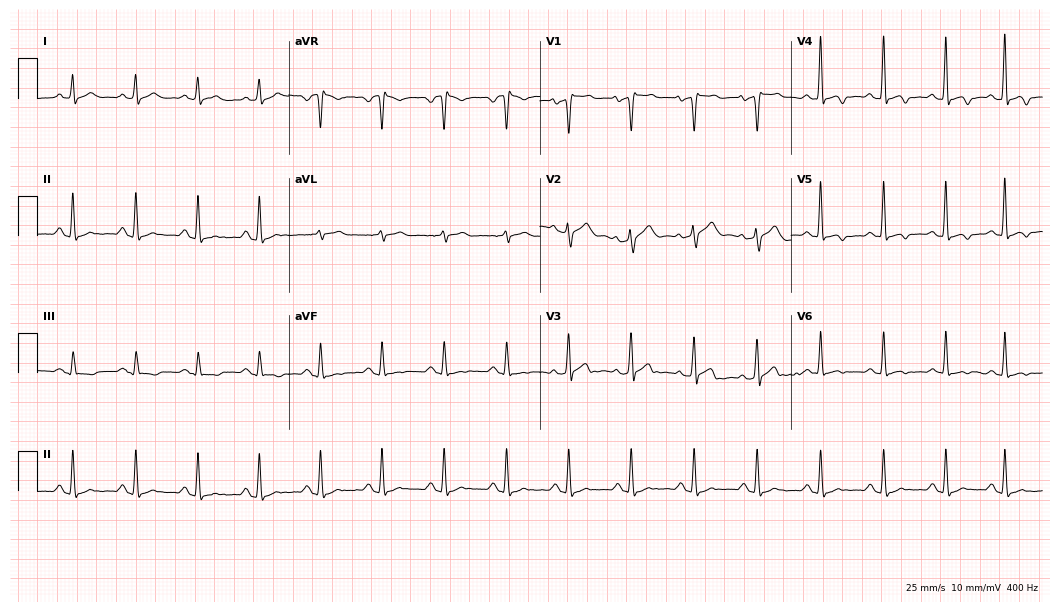
Standard 12-lead ECG recorded from a male patient, 46 years old. None of these six findings is recorded: first-degree AV block, right bundle branch block (RBBB), left bundle branch block (LBBB), sinus bradycardia, atrial fibrillation (AF), sinus tachycardia. Only these six findings were labelled.